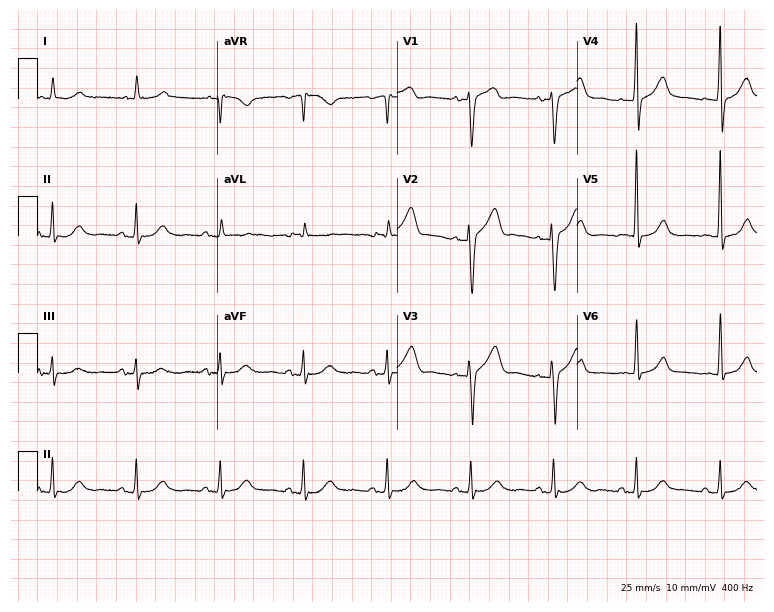
Resting 12-lead electrocardiogram. Patient: a male, 83 years old. Read as a normal ECG.